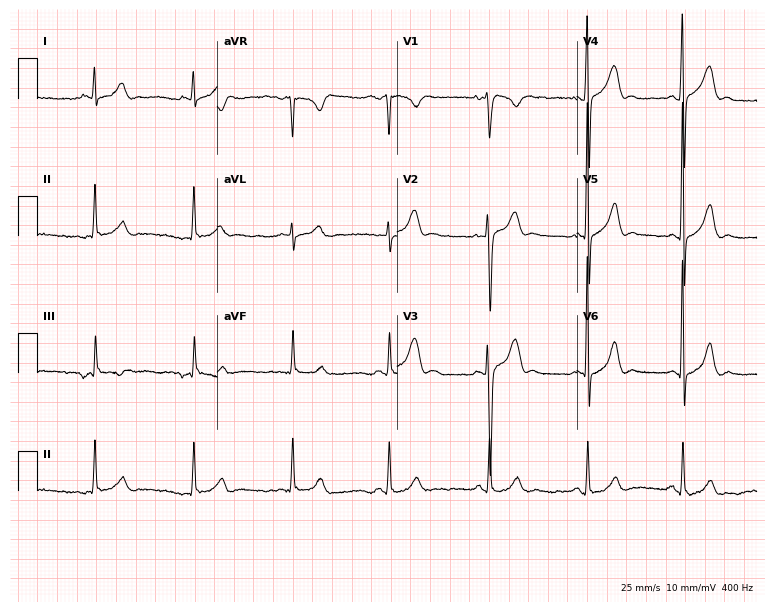
12-lead ECG from a male, 28 years old (7.3-second recording at 400 Hz). Recorded interpretation: within normal limits.